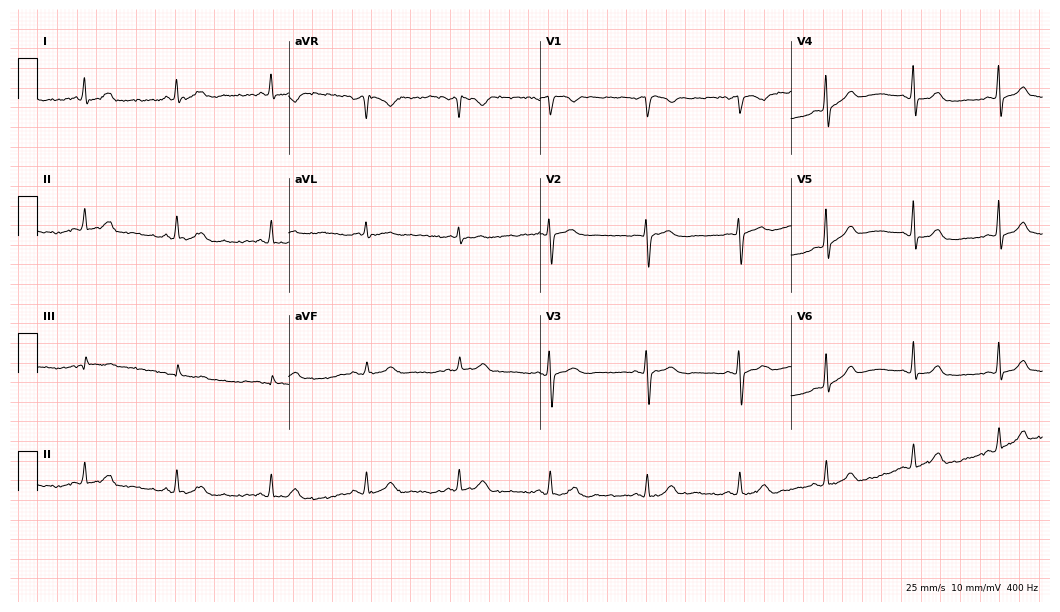
Resting 12-lead electrocardiogram (10.2-second recording at 400 Hz). Patient: a 54-year-old woman. Read as a normal ECG.